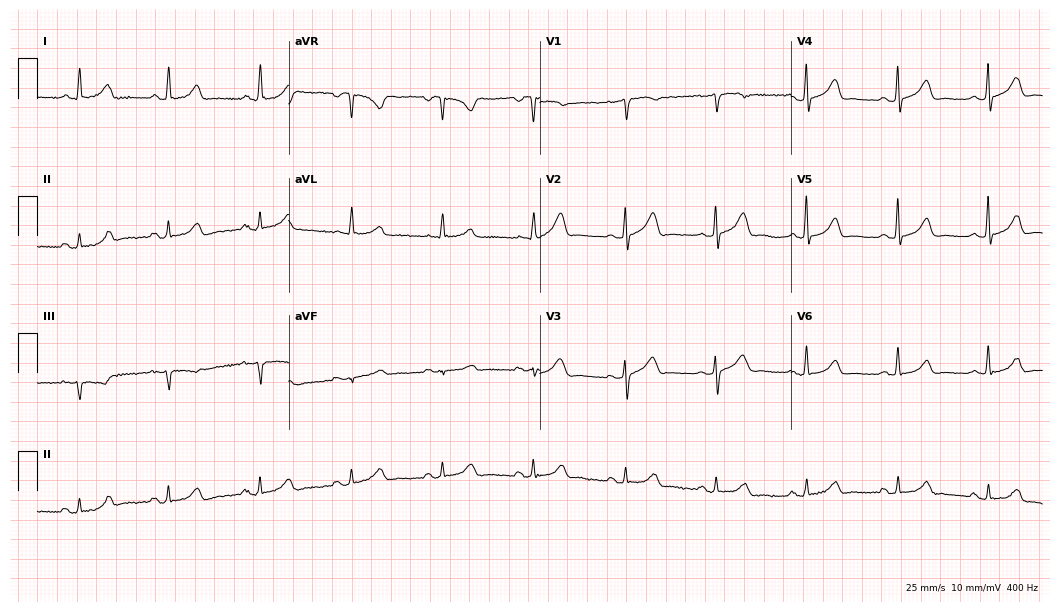
ECG (10.2-second recording at 400 Hz) — a 51-year-old woman. Screened for six findings — first-degree AV block, right bundle branch block, left bundle branch block, sinus bradycardia, atrial fibrillation, sinus tachycardia — none is recorded.